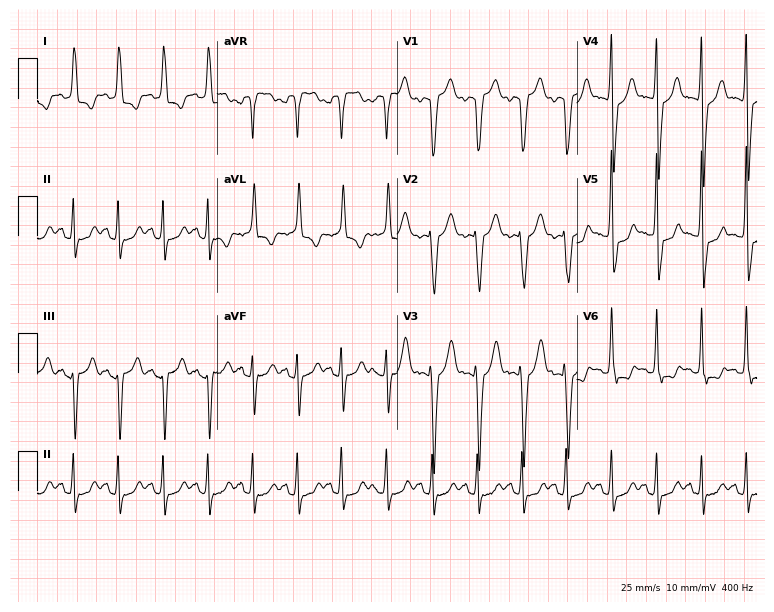
ECG (7.3-second recording at 400 Hz) — a 77-year-old female. Screened for six findings — first-degree AV block, right bundle branch block, left bundle branch block, sinus bradycardia, atrial fibrillation, sinus tachycardia — none is recorded. Only these six findings were labelled.